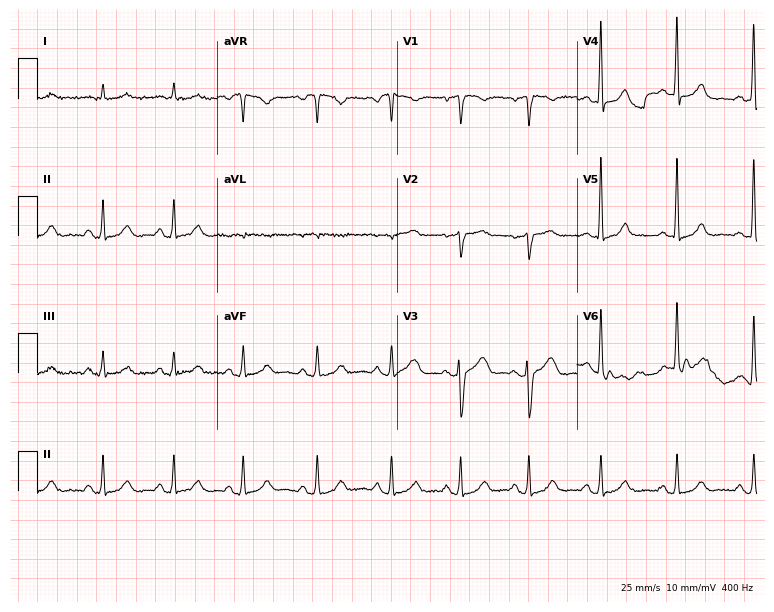
12-lead ECG from a male, 59 years old. Recorded interpretation: within normal limits.